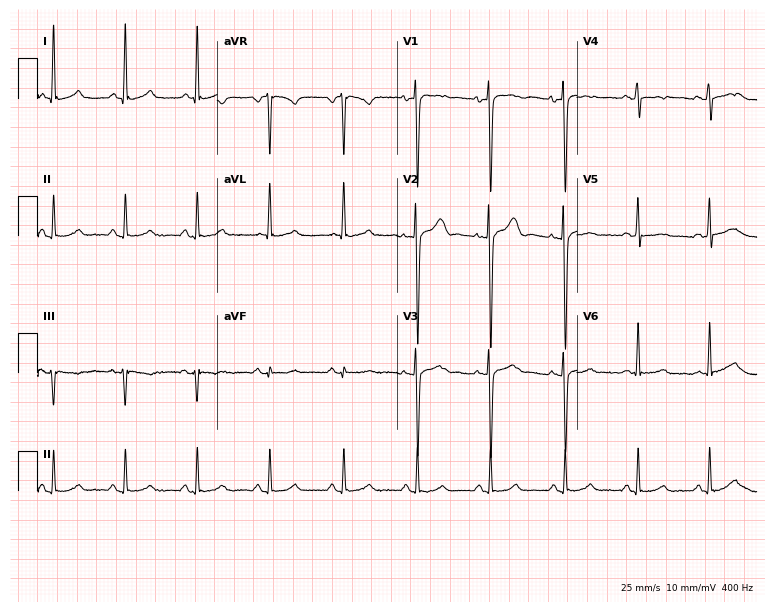
Standard 12-lead ECG recorded from a male, 40 years old (7.3-second recording at 400 Hz). None of these six findings is recorded: first-degree AV block, right bundle branch block, left bundle branch block, sinus bradycardia, atrial fibrillation, sinus tachycardia.